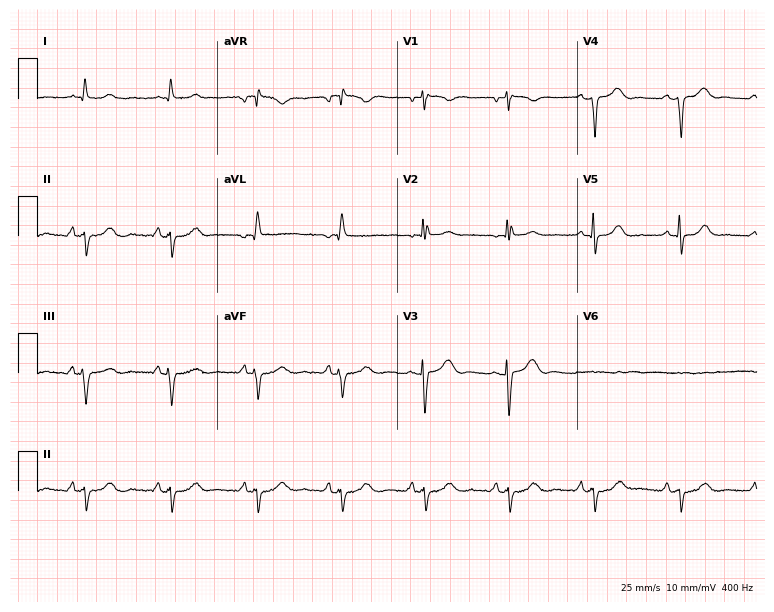
Electrocardiogram, a 49-year-old woman. Of the six screened findings (first-degree AV block, right bundle branch block, left bundle branch block, sinus bradycardia, atrial fibrillation, sinus tachycardia), none is recorded. Other findings, if any, are not listed.